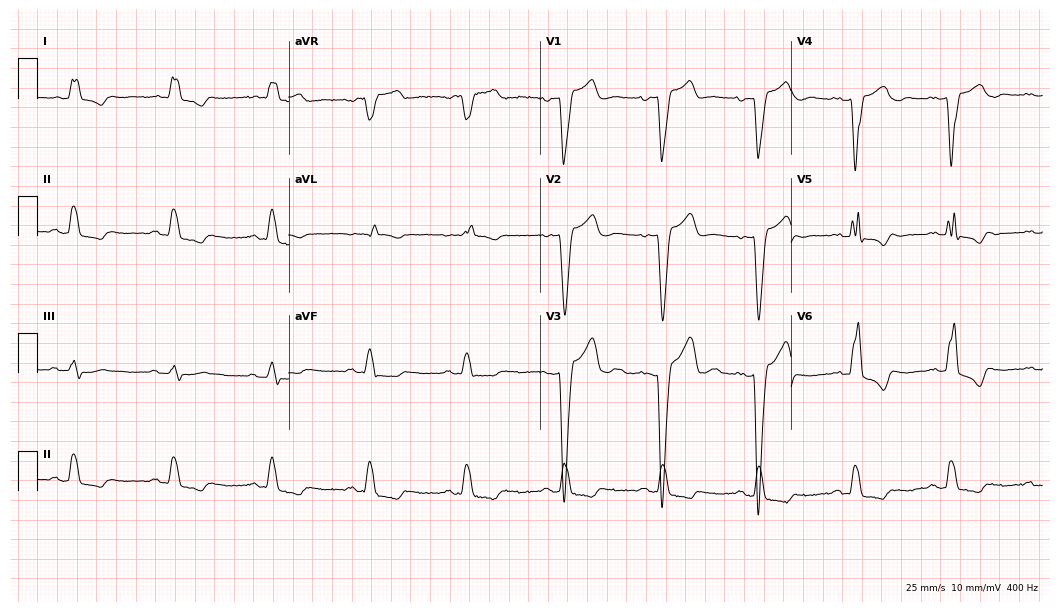
12-lead ECG from an 85-year-old male (10.2-second recording at 400 Hz). Shows left bundle branch block.